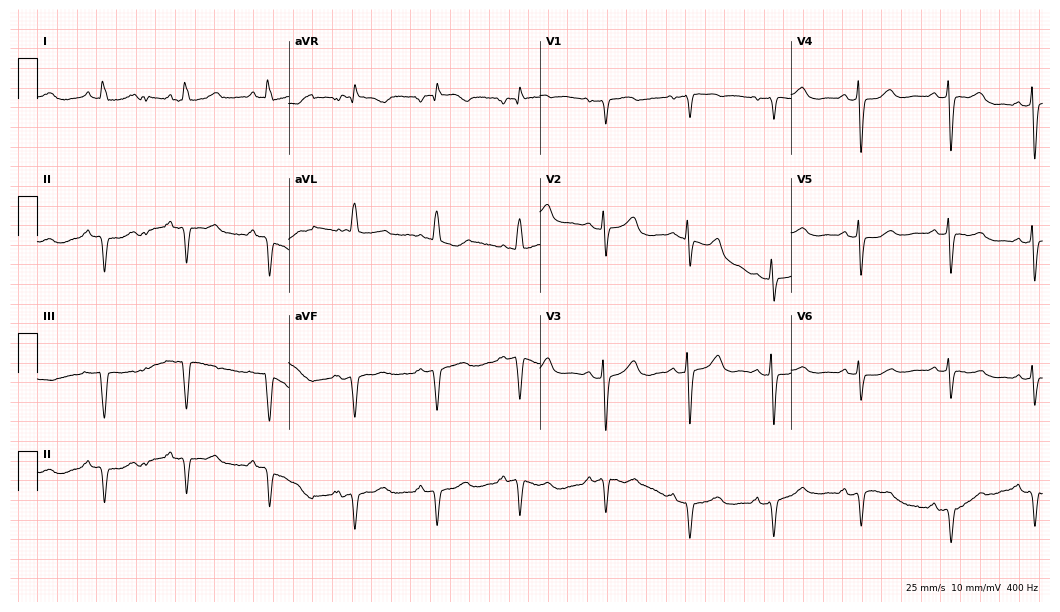
ECG (10.2-second recording at 400 Hz) — a female, 76 years old. Screened for six findings — first-degree AV block, right bundle branch block, left bundle branch block, sinus bradycardia, atrial fibrillation, sinus tachycardia — none is recorded. Only these six findings were labelled.